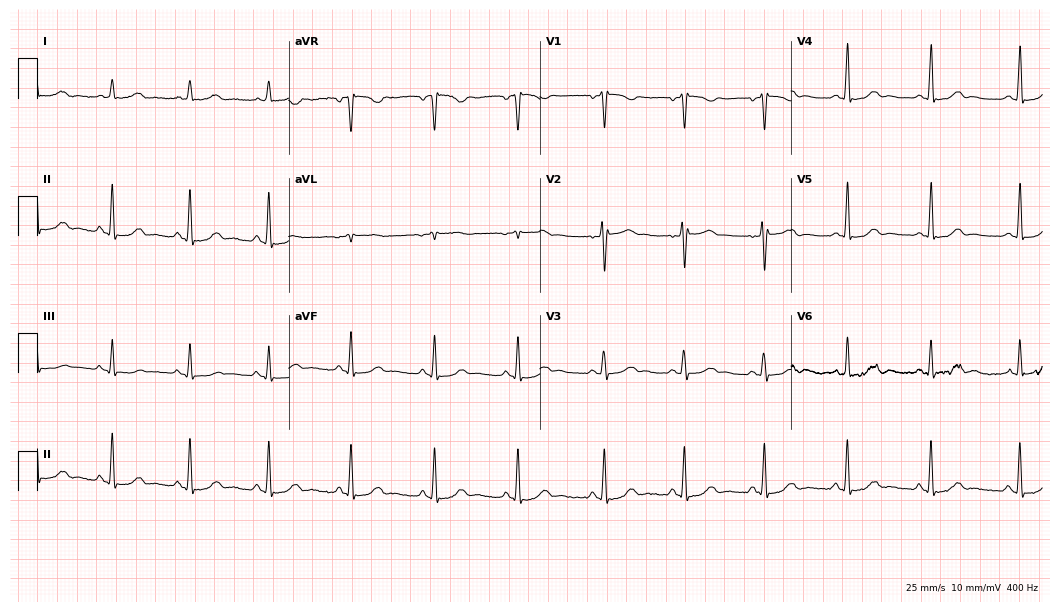
Resting 12-lead electrocardiogram (10.2-second recording at 400 Hz). Patient: a female, 38 years old. None of these six findings is recorded: first-degree AV block, right bundle branch block, left bundle branch block, sinus bradycardia, atrial fibrillation, sinus tachycardia.